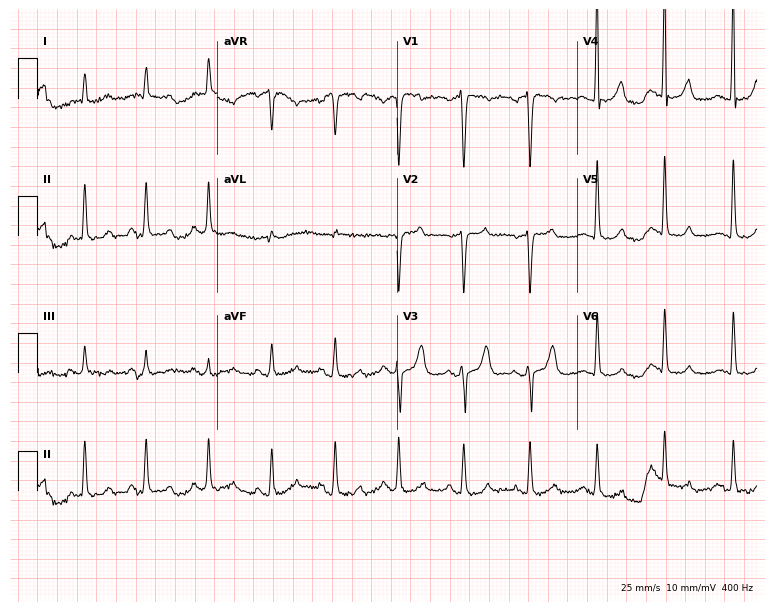
12-lead ECG (7.3-second recording at 400 Hz) from a 43-year-old man. Labelled as a normal ECG.